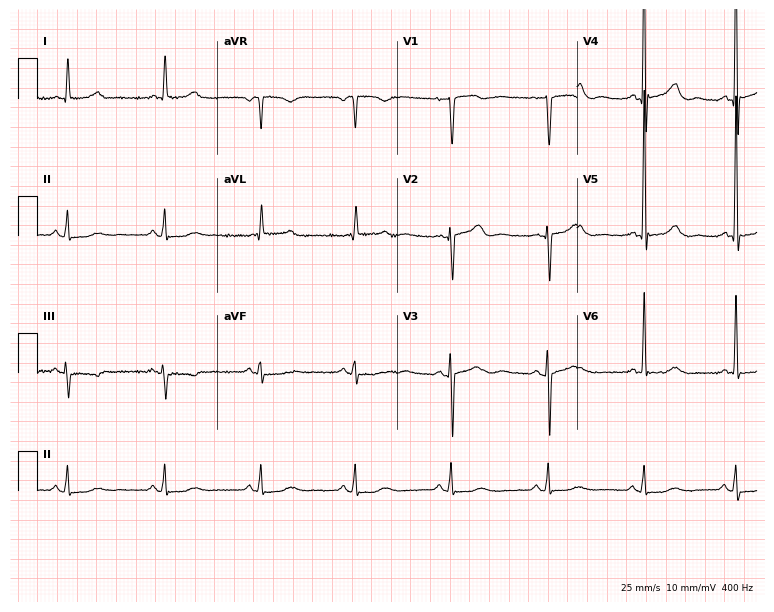
Electrocardiogram, a woman, 77 years old. Overall reading on record: normal ECG.